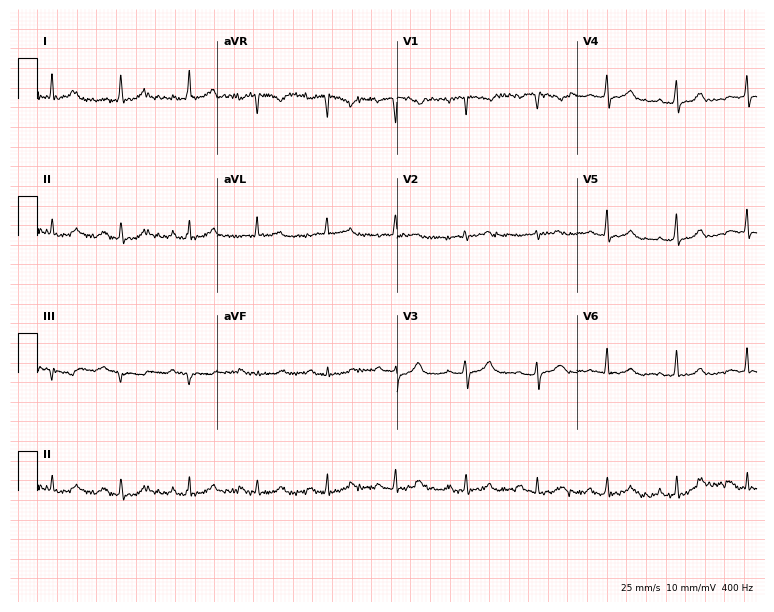
Resting 12-lead electrocardiogram (7.3-second recording at 400 Hz). Patient: a male, 53 years old. Read as a normal ECG.